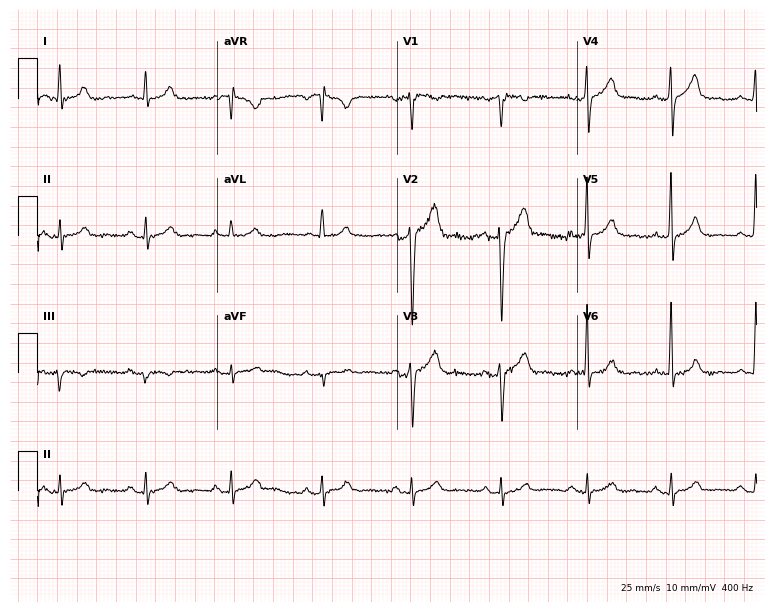
ECG (7.3-second recording at 400 Hz) — a male patient, 35 years old. Labelled as a normal ECG.